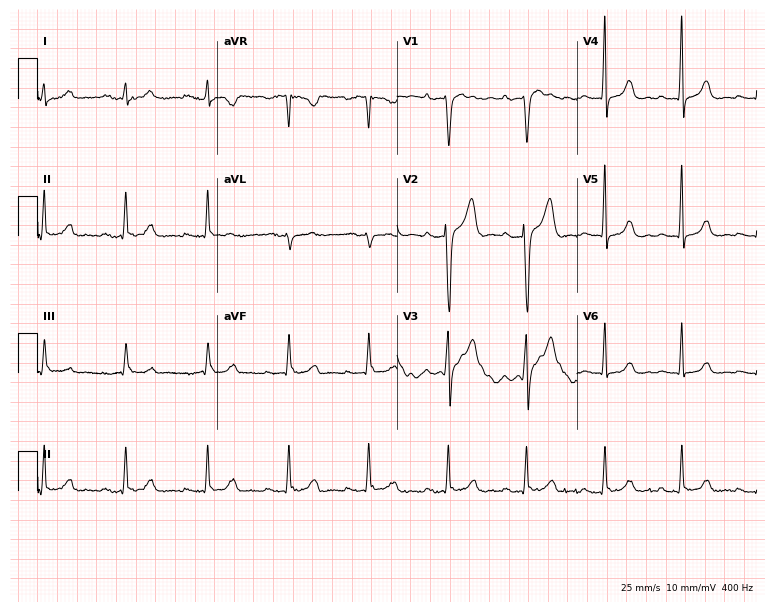
Standard 12-lead ECG recorded from a male, 43 years old. Read as a normal ECG.